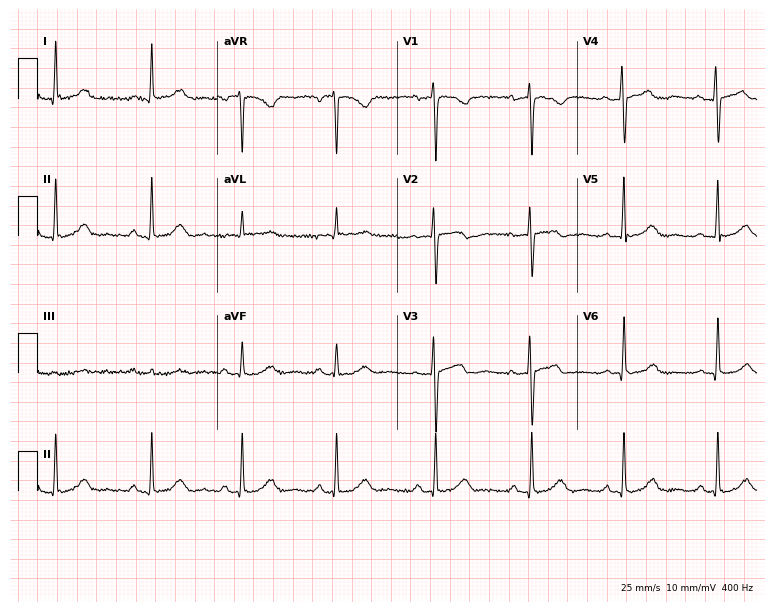
12-lead ECG from a female patient, 35 years old. Recorded interpretation: within normal limits.